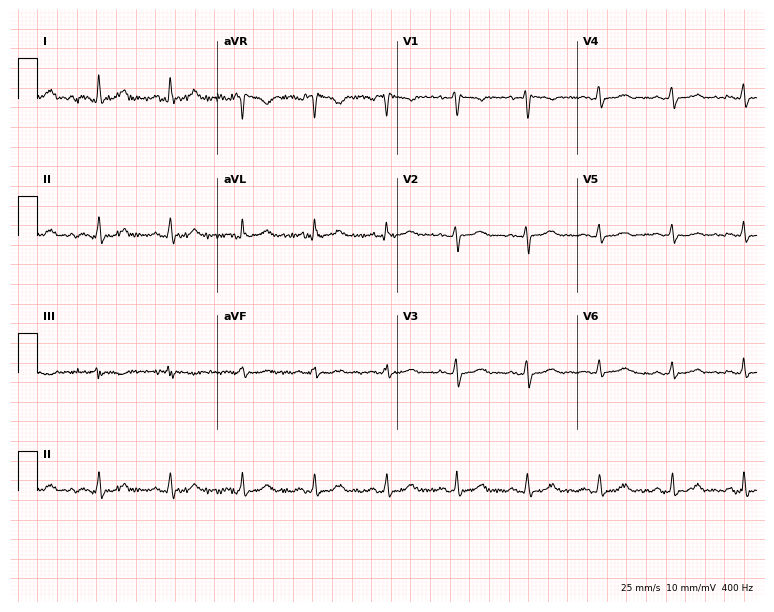
Resting 12-lead electrocardiogram (7.3-second recording at 400 Hz). Patient: a female, 38 years old. None of these six findings is recorded: first-degree AV block, right bundle branch block, left bundle branch block, sinus bradycardia, atrial fibrillation, sinus tachycardia. Only these six findings were labelled.